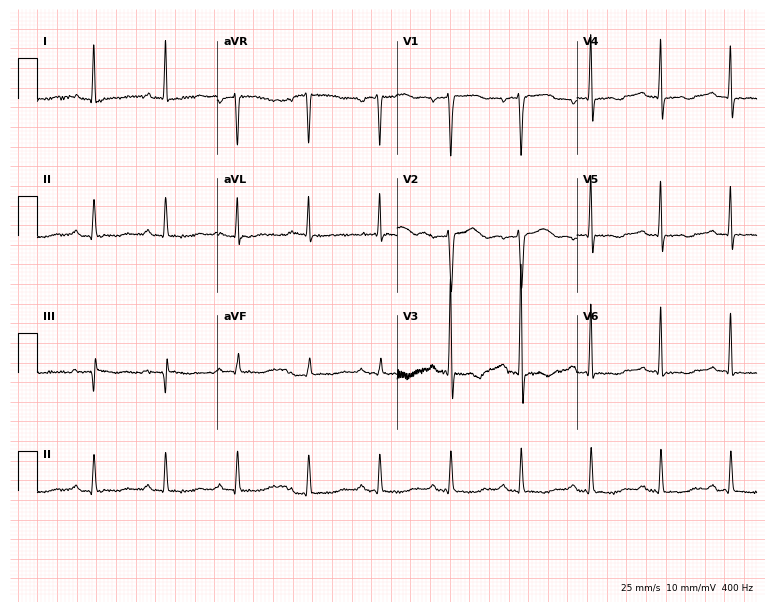
ECG — a 52-year-old female. Screened for six findings — first-degree AV block, right bundle branch block, left bundle branch block, sinus bradycardia, atrial fibrillation, sinus tachycardia — none is recorded. Other findings, if any, are not listed.